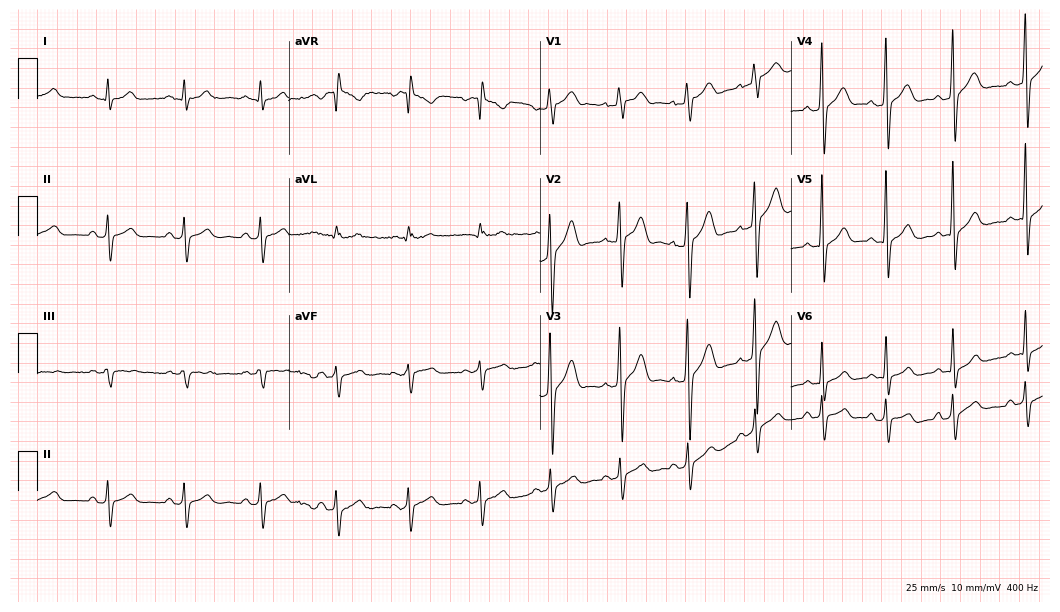
12-lead ECG from a 24-year-old man. Screened for six findings — first-degree AV block, right bundle branch block, left bundle branch block, sinus bradycardia, atrial fibrillation, sinus tachycardia — none is recorded.